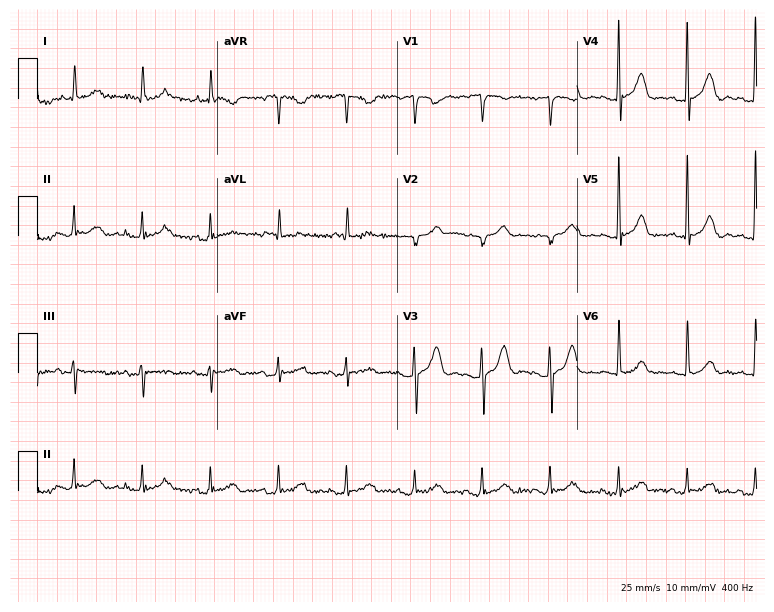
ECG — an 85-year-old woman. Screened for six findings — first-degree AV block, right bundle branch block (RBBB), left bundle branch block (LBBB), sinus bradycardia, atrial fibrillation (AF), sinus tachycardia — none is recorded.